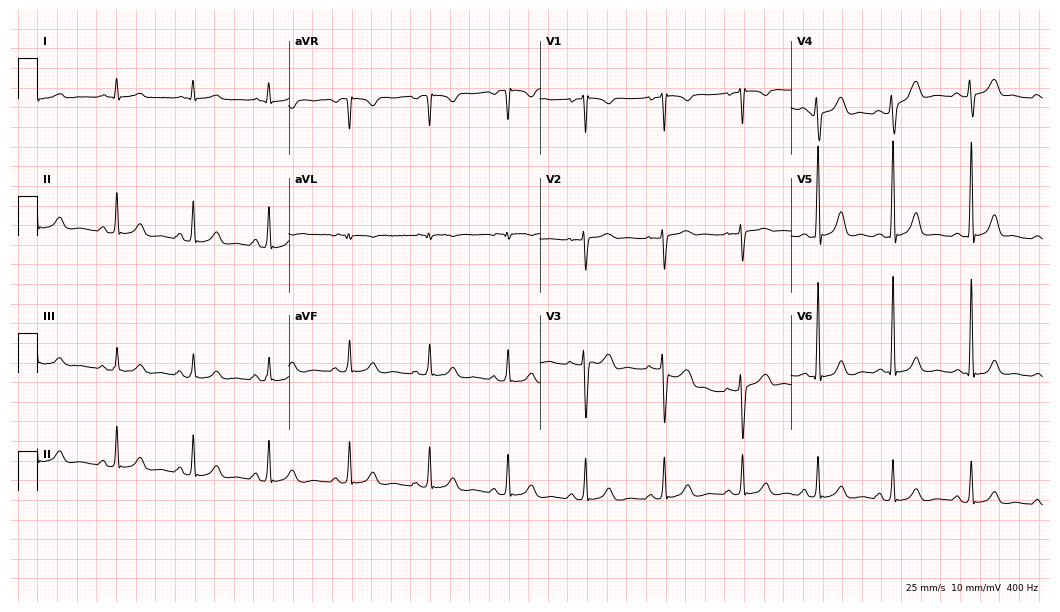
12-lead ECG from a 26-year-old female. Labelled as a normal ECG.